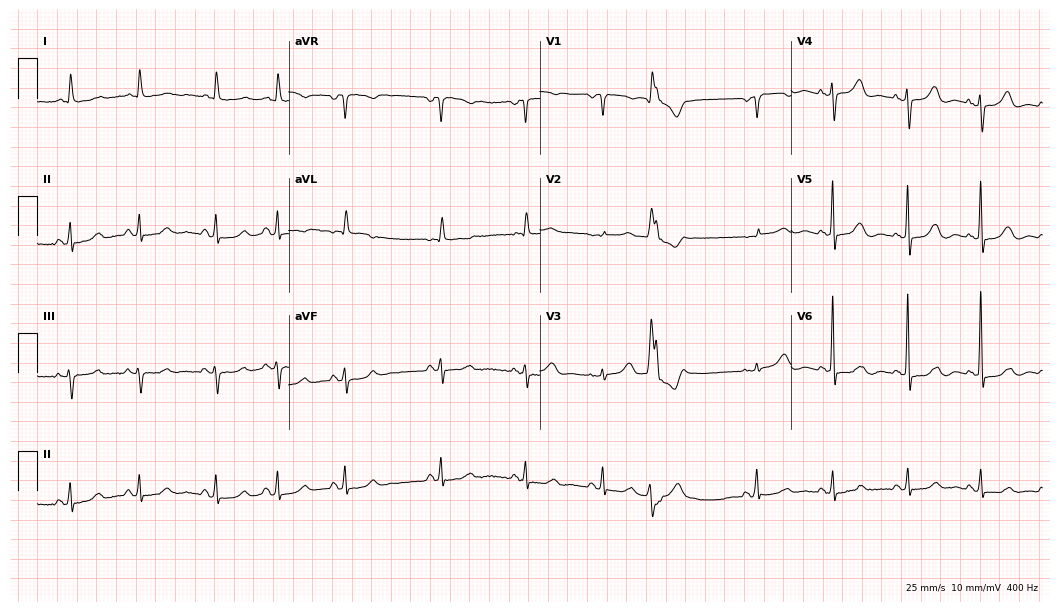
Resting 12-lead electrocardiogram. Patient: an 85-year-old female. None of these six findings is recorded: first-degree AV block, right bundle branch block (RBBB), left bundle branch block (LBBB), sinus bradycardia, atrial fibrillation (AF), sinus tachycardia. Other findings, if any, are not listed.